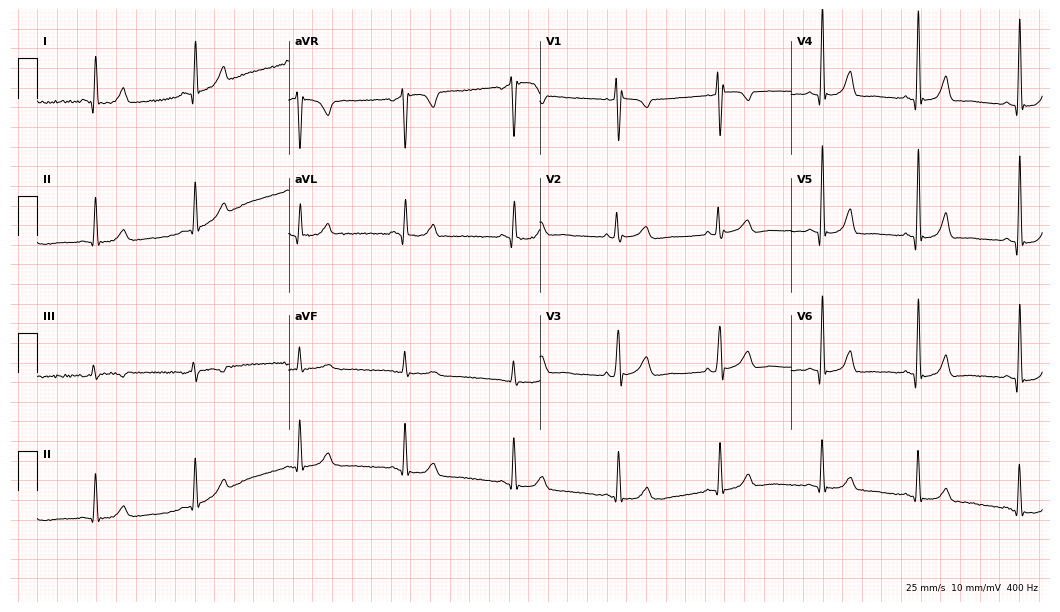
Standard 12-lead ECG recorded from a woman, 41 years old. Read as a normal ECG.